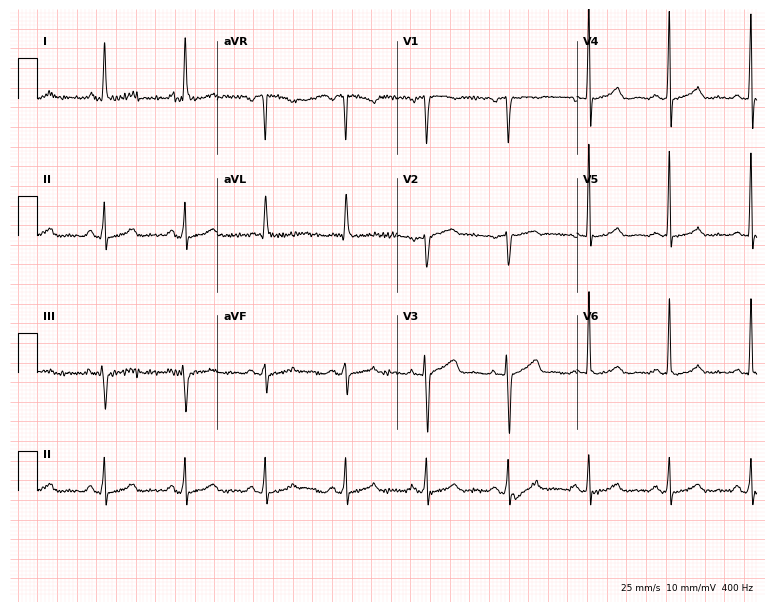
12-lead ECG (7.3-second recording at 400 Hz) from a 63-year-old female patient. Screened for six findings — first-degree AV block, right bundle branch block, left bundle branch block, sinus bradycardia, atrial fibrillation, sinus tachycardia — none is recorded. Only these six findings were labelled.